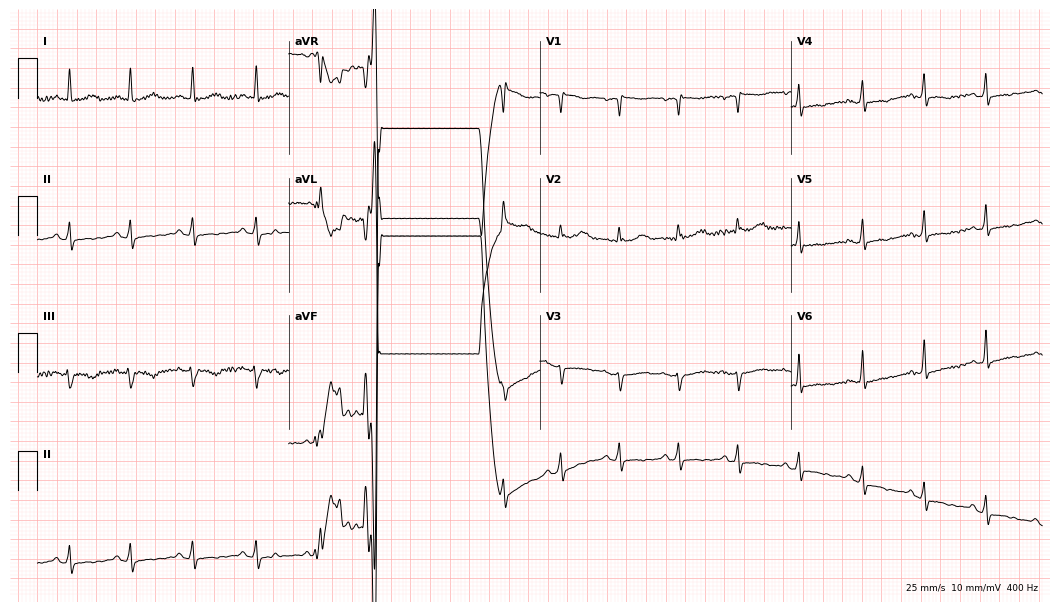
12-lead ECG from a woman, 51 years old. Screened for six findings — first-degree AV block, right bundle branch block, left bundle branch block, sinus bradycardia, atrial fibrillation, sinus tachycardia — none is recorded. Findings outside these six are not listed.